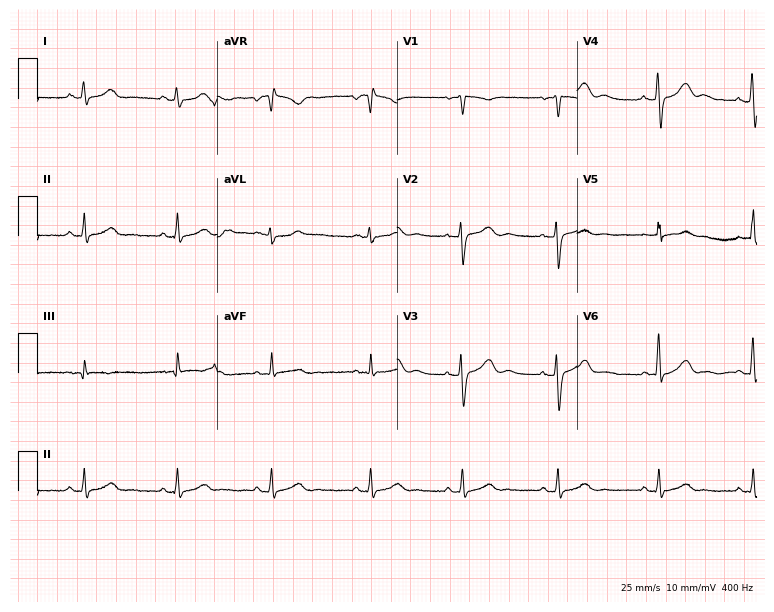
12-lead ECG from a woman, 46 years old (7.3-second recording at 400 Hz). Recorded interpretation: within normal limits.